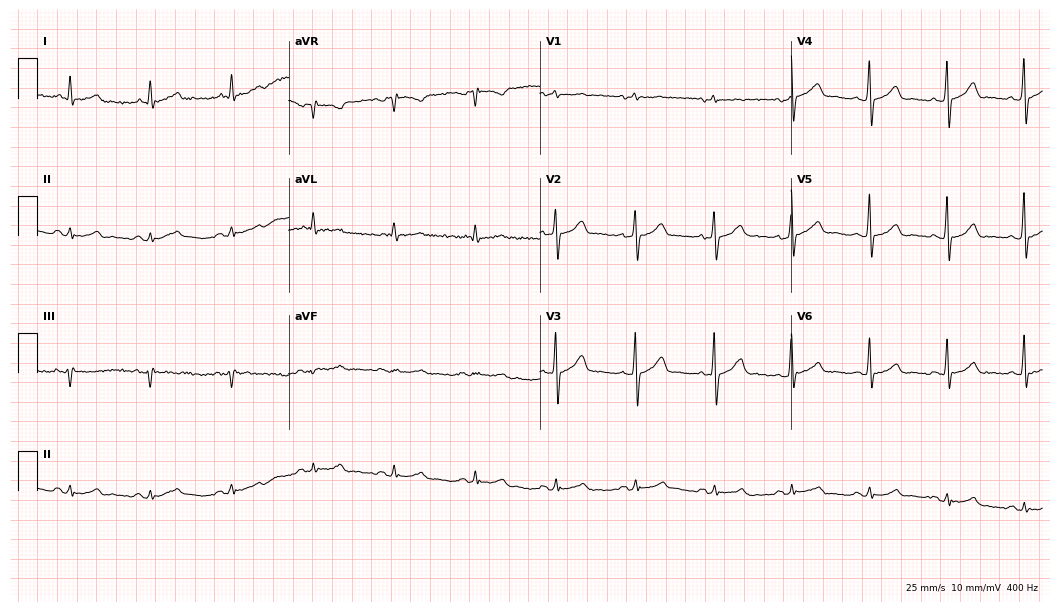
ECG — a 56-year-old male. Labelled as a normal ECG.